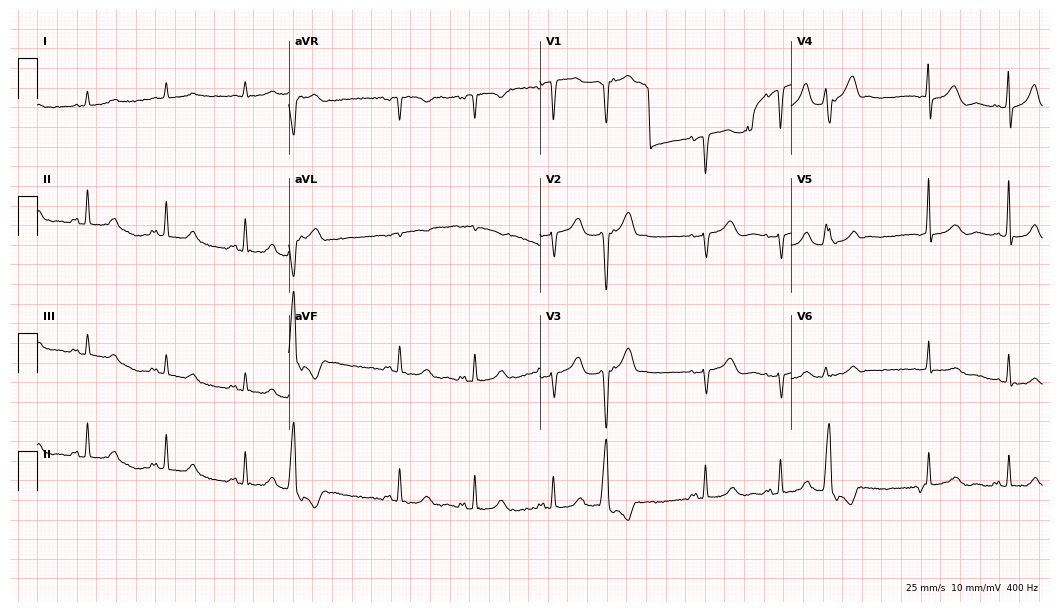
Resting 12-lead electrocardiogram. Patient: an 82-year-old female. None of these six findings is recorded: first-degree AV block, right bundle branch block (RBBB), left bundle branch block (LBBB), sinus bradycardia, atrial fibrillation (AF), sinus tachycardia. Only these six findings were labelled.